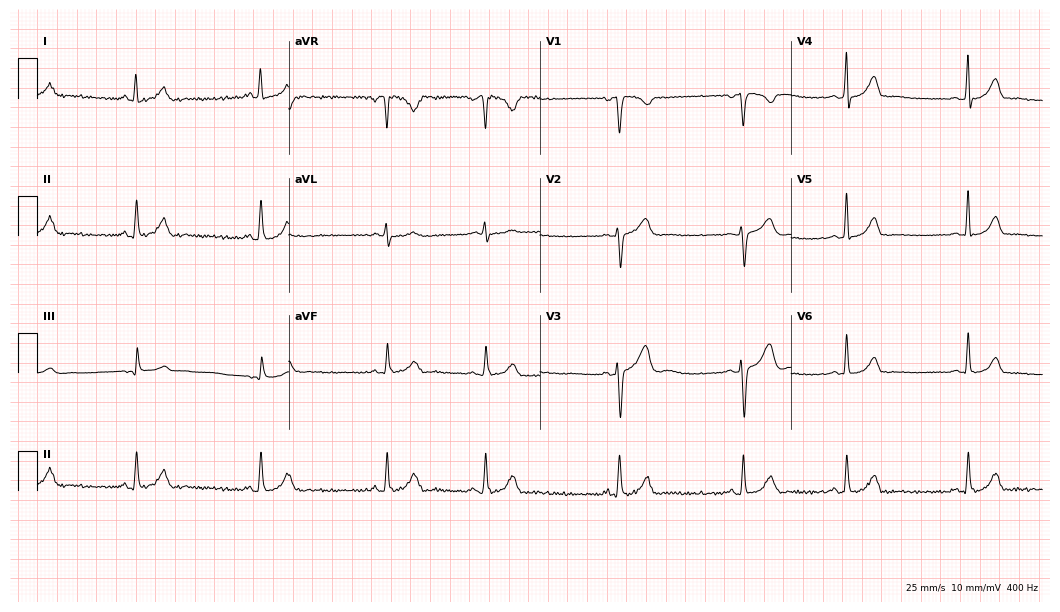
12-lead ECG from a woman, 29 years old. Screened for six findings — first-degree AV block, right bundle branch block, left bundle branch block, sinus bradycardia, atrial fibrillation, sinus tachycardia — none is recorded. Other findings, if any, are not listed.